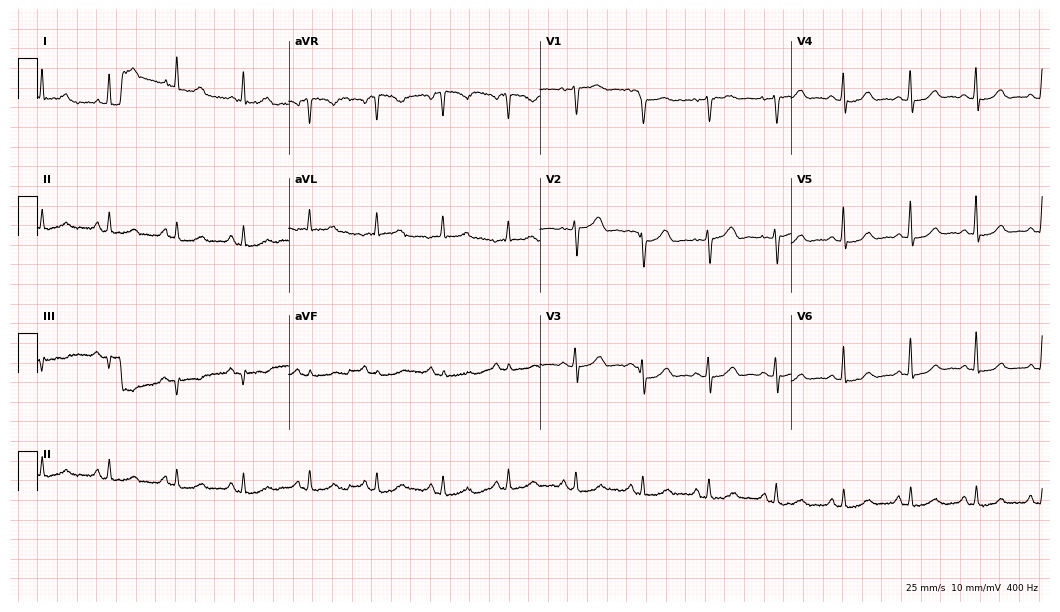
12-lead ECG (10.2-second recording at 400 Hz) from a female patient, 62 years old. Labelled as a normal ECG.